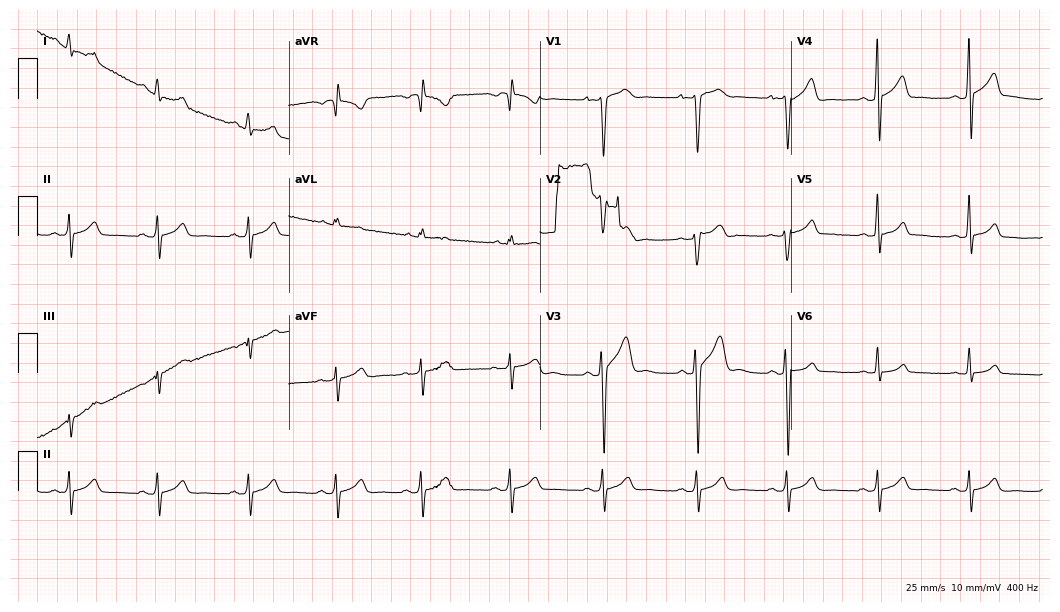
ECG (10.2-second recording at 400 Hz) — a 24-year-old female. Labelled as a normal ECG.